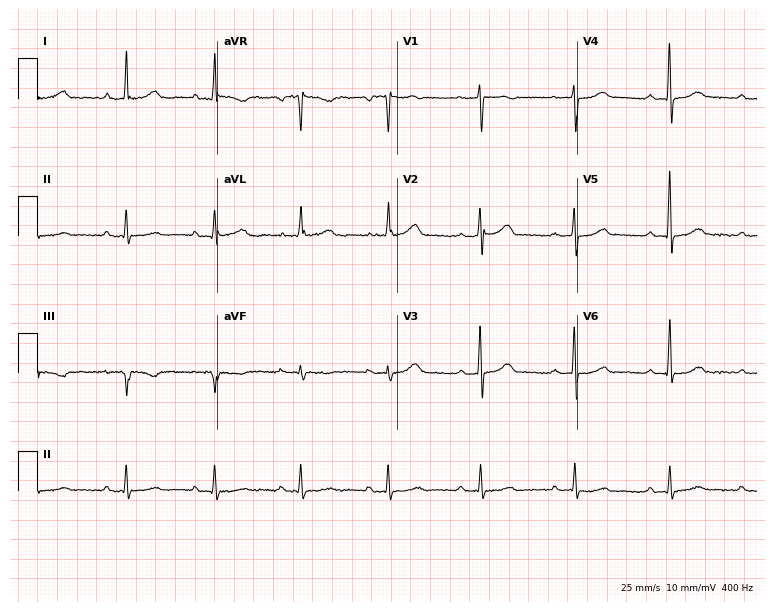
ECG (7.3-second recording at 400 Hz) — a woman, 58 years old. Screened for six findings — first-degree AV block, right bundle branch block (RBBB), left bundle branch block (LBBB), sinus bradycardia, atrial fibrillation (AF), sinus tachycardia — none is recorded.